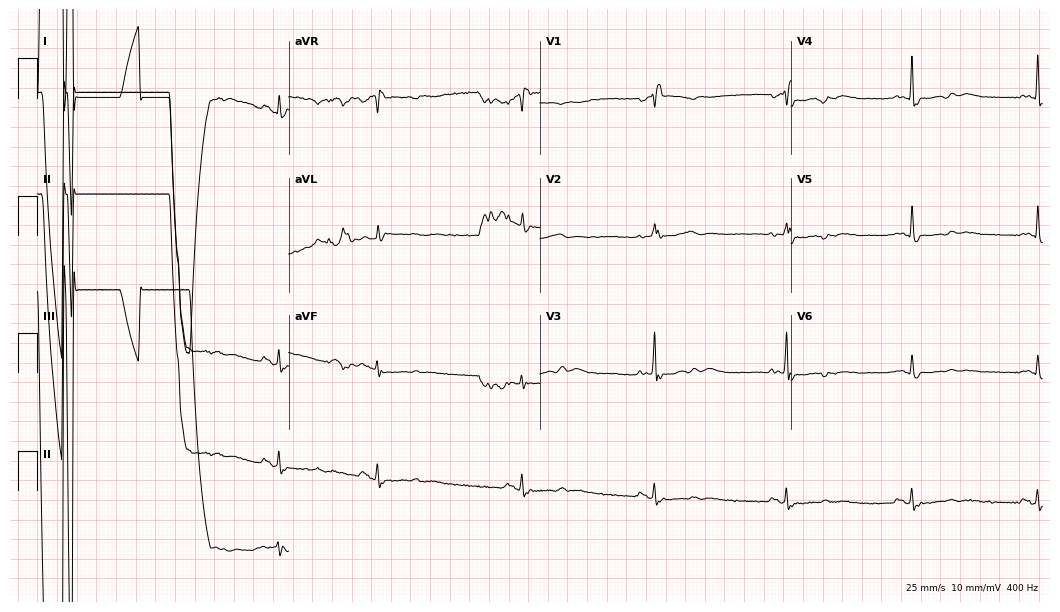
12-lead ECG from a 61-year-old woman. Shows right bundle branch block.